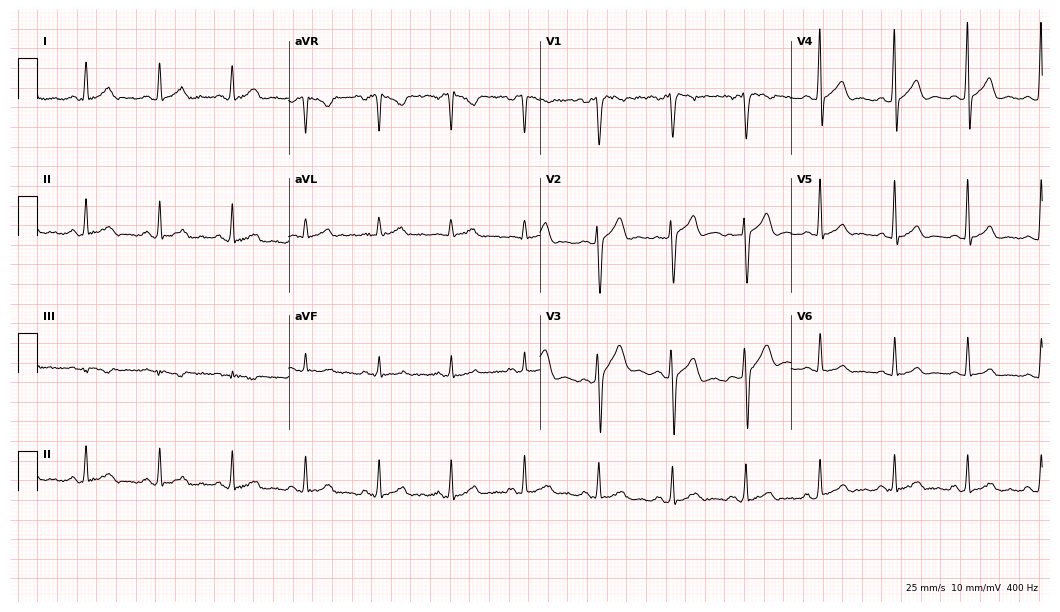
Electrocardiogram (10.2-second recording at 400 Hz), a male, 46 years old. Overall reading on record: normal ECG.